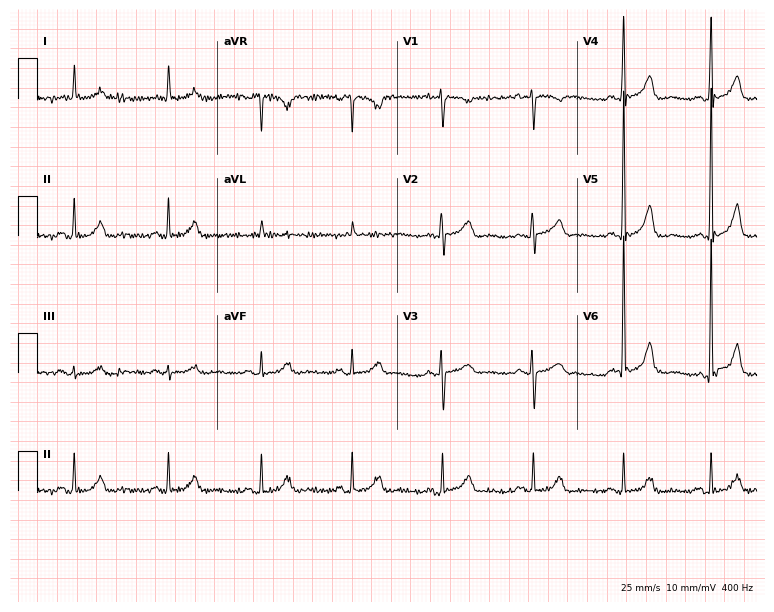
ECG — a man, 85 years old. Screened for six findings — first-degree AV block, right bundle branch block (RBBB), left bundle branch block (LBBB), sinus bradycardia, atrial fibrillation (AF), sinus tachycardia — none is recorded.